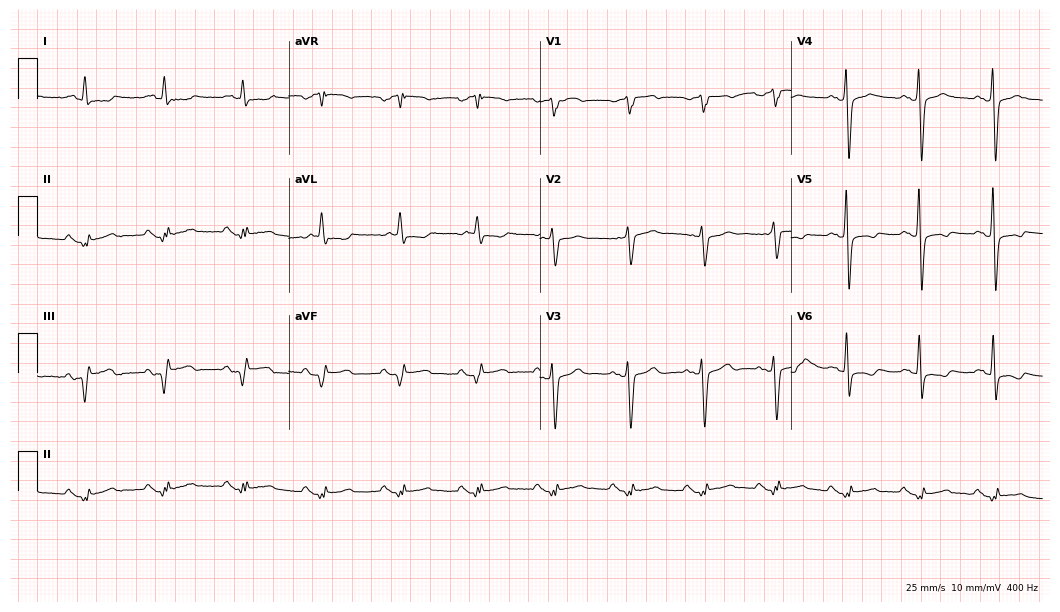
12-lead ECG from a man, 54 years old (10.2-second recording at 400 Hz). No first-degree AV block, right bundle branch block, left bundle branch block, sinus bradycardia, atrial fibrillation or sinus tachycardia recorded for this tracing. Other findings, if any, are not listed.